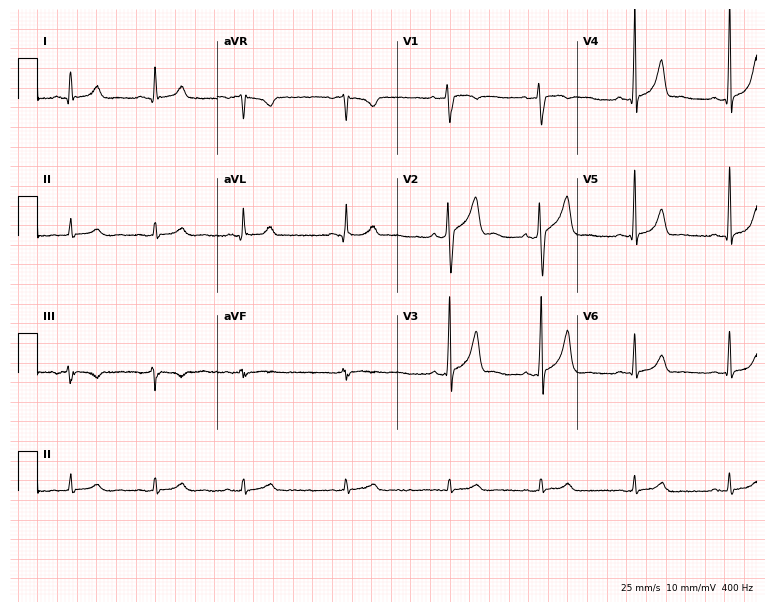
Standard 12-lead ECG recorded from a 31-year-old man (7.3-second recording at 400 Hz). Read as a normal ECG.